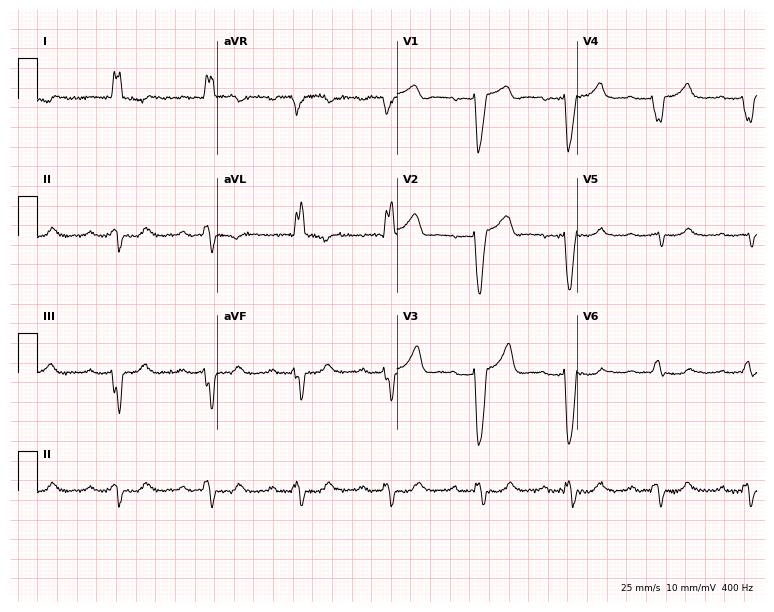
12-lead ECG (7.3-second recording at 400 Hz) from a woman, 63 years old. Findings include first-degree AV block, left bundle branch block (LBBB).